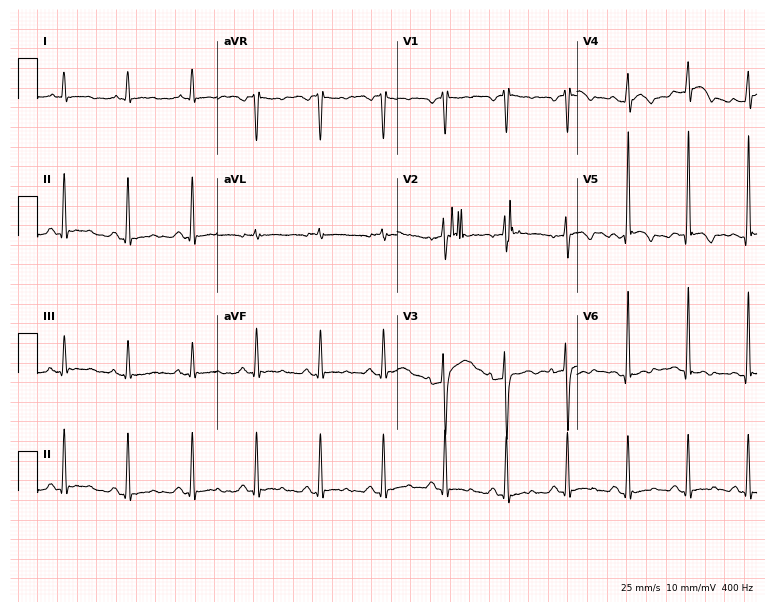
12-lead ECG from a 49-year-old man. No first-degree AV block, right bundle branch block, left bundle branch block, sinus bradycardia, atrial fibrillation or sinus tachycardia recorded for this tracing.